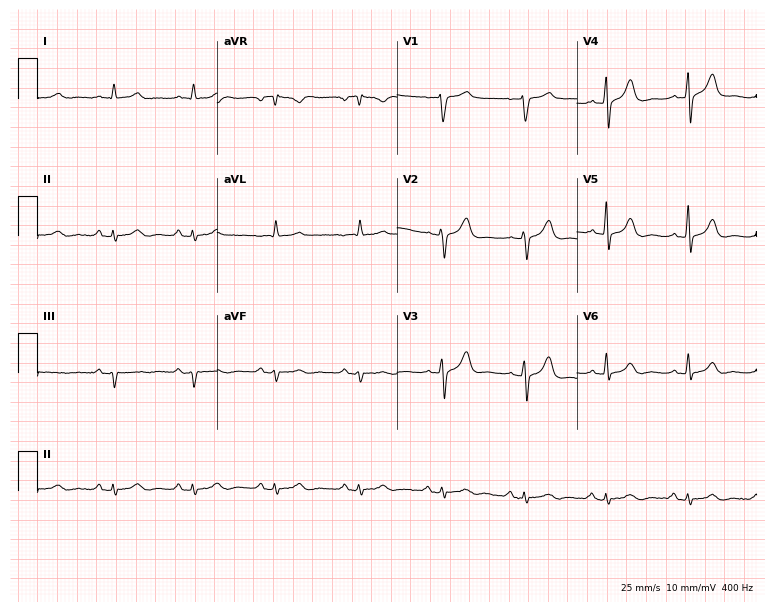
Resting 12-lead electrocardiogram (7.3-second recording at 400 Hz). Patient: a female, 54 years old. None of these six findings is recorded: first-degree AV block, right bundle branch block, left bundle branch block, sinus bradycardia, atrial fibrillation, sinus tachycardia.